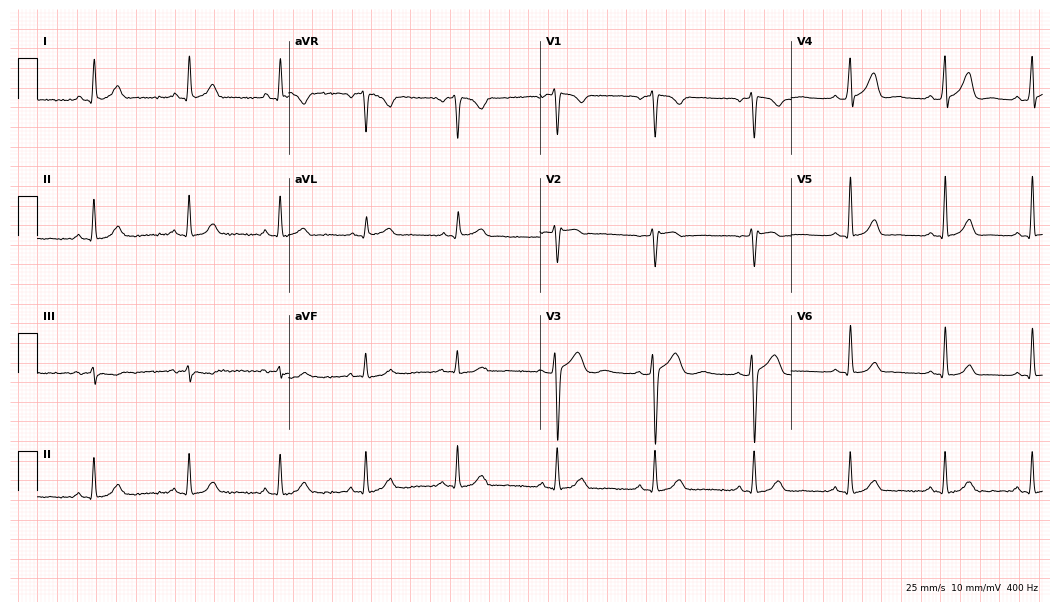
Resting 12-lead electrocardiogram. Patient: a female, 24 years old. Read as a normal ECG.